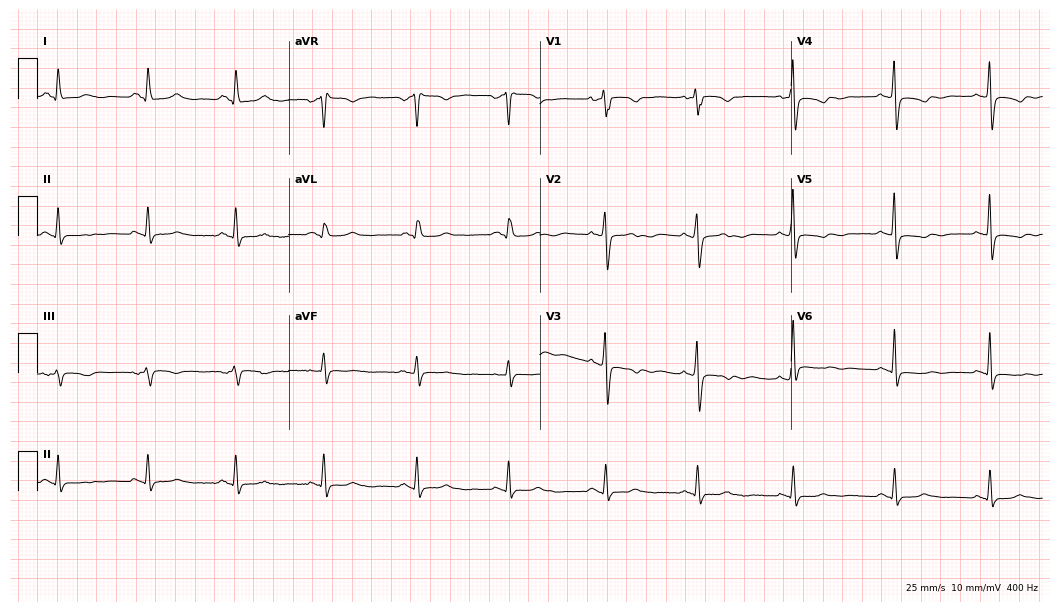
ECG (10.2-second recording at 400 Hz) — a 65-year-old female. Screened for six findings — first-degree AV block, right bundle branch block, left bundle branch block, sinus bradycardia, atrial fibrillation, sinus tachycardia — none is recorded.